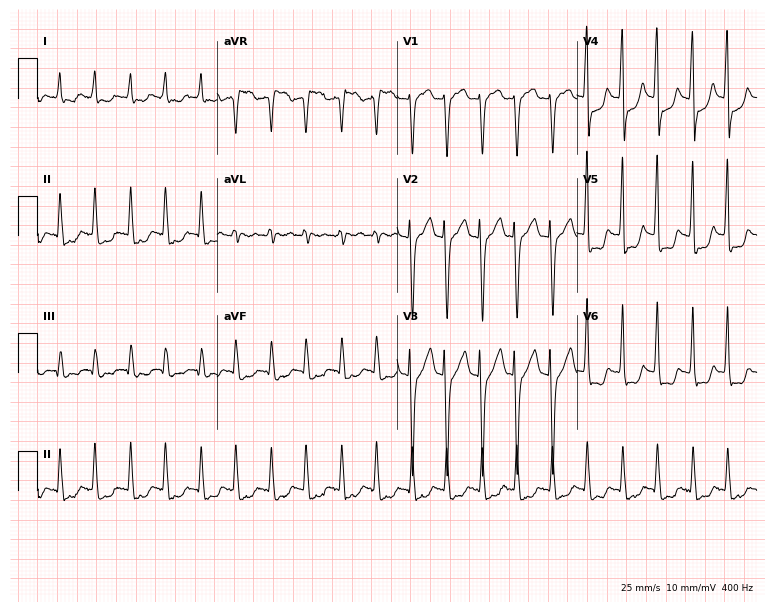
Electrocardiogram (7.3-second recording at 400 Hz), a 58-year-old male patient. Of the six screened findings (first-degree AV block, right bundle branch block (RBBB), left bundle branch block (LBBB), sinus bradycardia, atrial fibrillation (AF), sinus tachycardia), none is recorded.